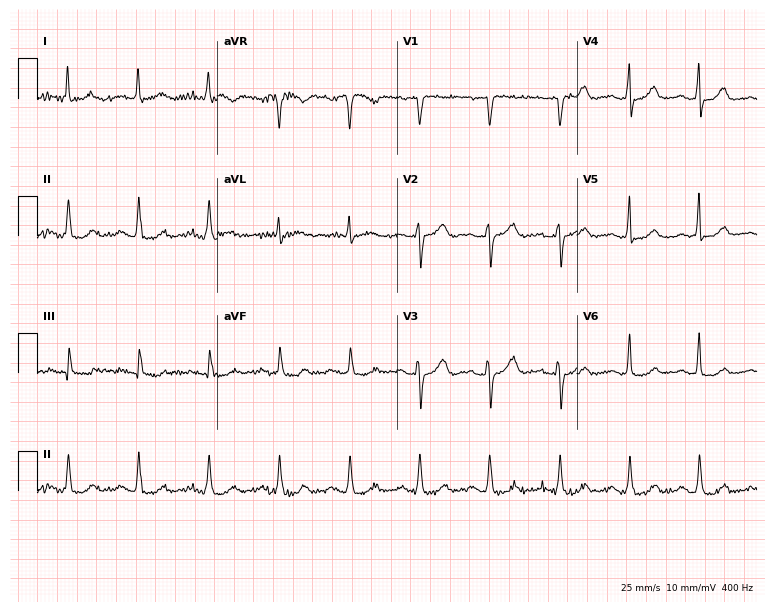
ECG — a 77-year-old woman. Labelled as a normal ECG.